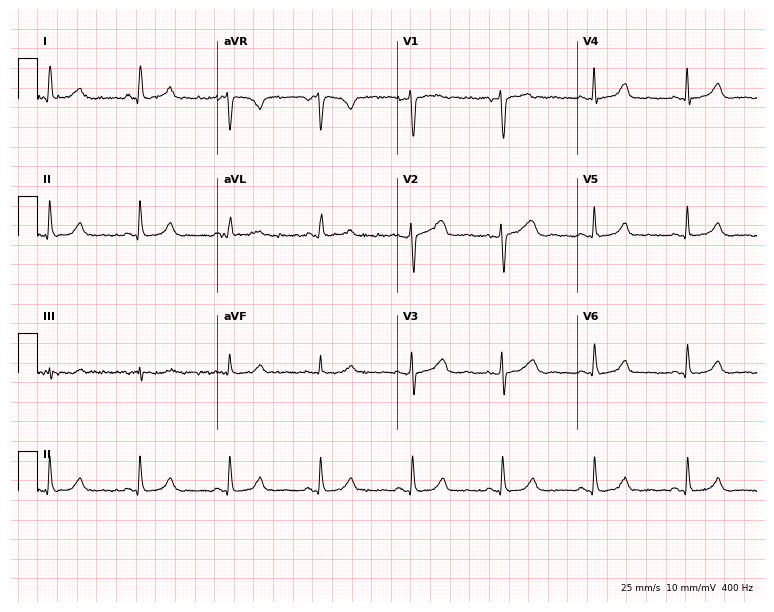
Electrocardiogram, a female patient, 55 years old. Overall reading on record: normal ECG.